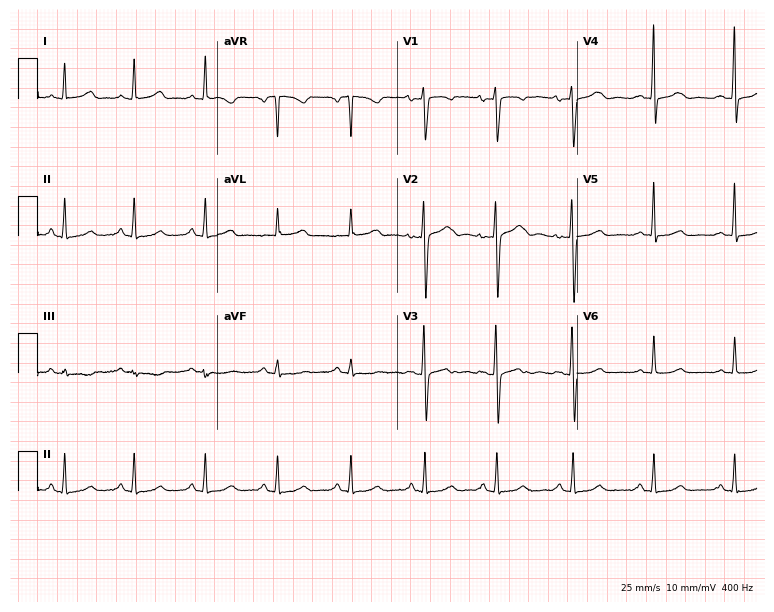
12-lead ECG from a 41-year-old woman. Recorded interpretation: within normal limits.